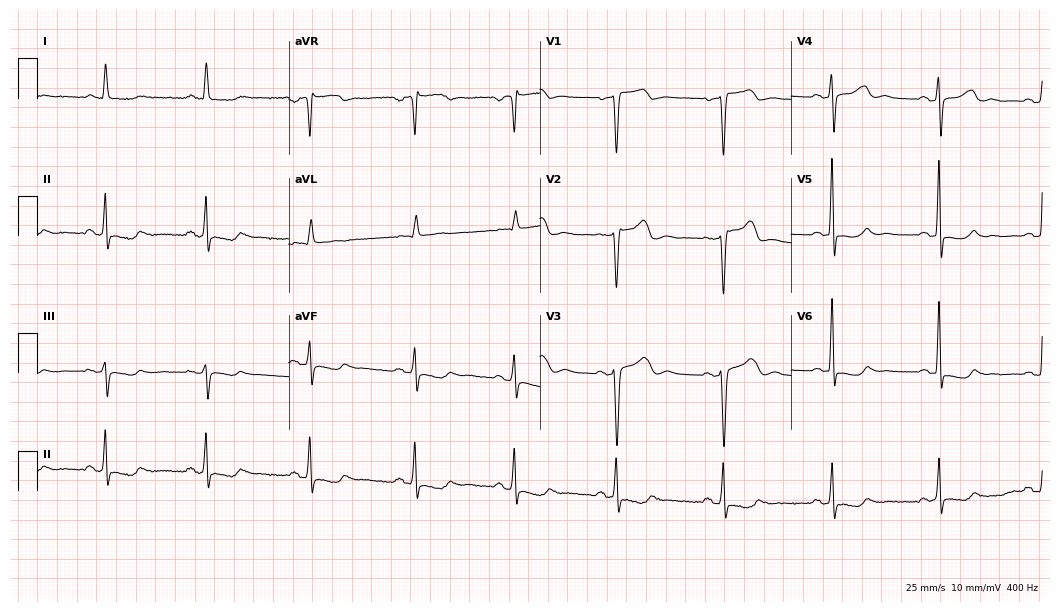
12-lead ECG (10.2-second recording at 400 Hz) from a female, 53 years old. Screened for six findings — first-degree AV block, right bundle branch block (RBBB), left bundle branch block (LBBB), sinus bradycardia, atrial fibrillation (AF), sinus tachycardia — none is recorded. Findings outside these six are not listed.